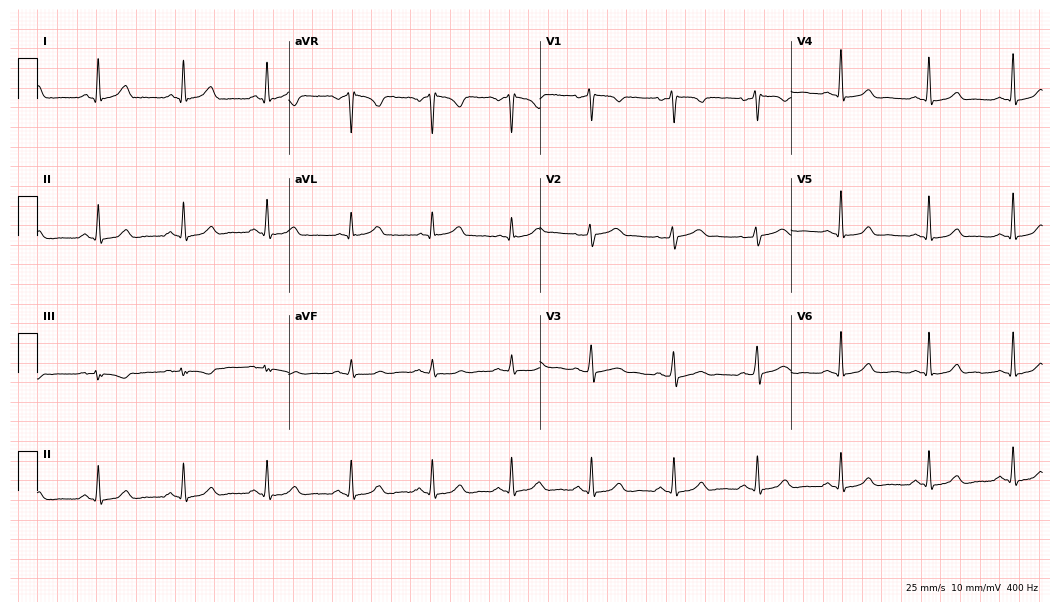
Standard 12-lead ECG recorded from a woman, 47 years old. Read as a normal ECG.